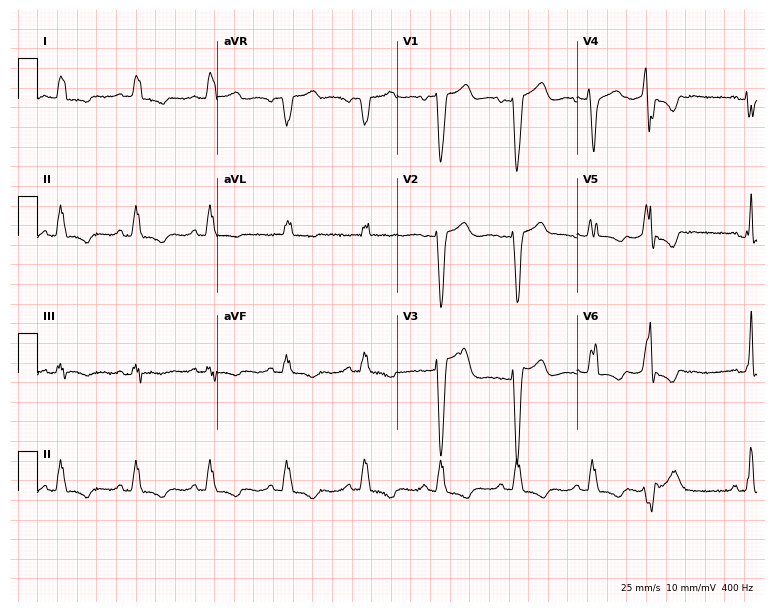
12-lead ECG from a 65-year-old female patient. Shows left bundle branch block.